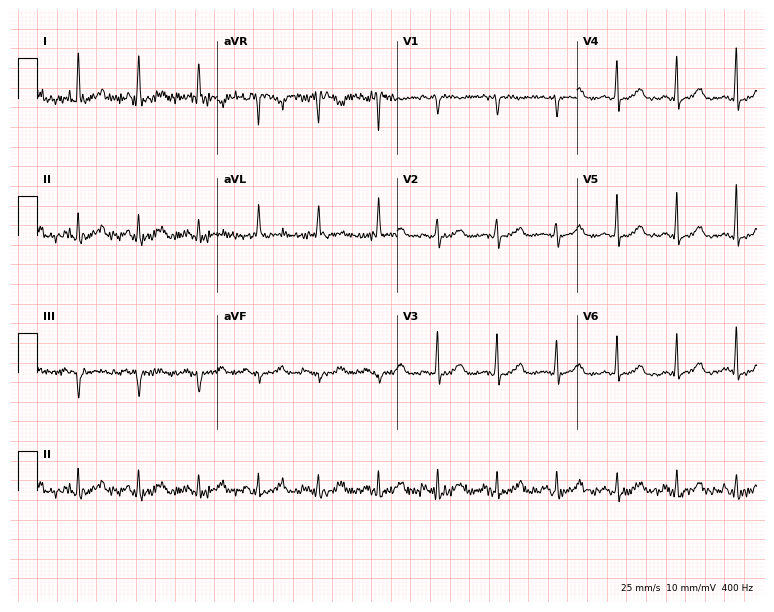
12-lead ECG from a female, 50 years old. Labelled as a normal ECG.